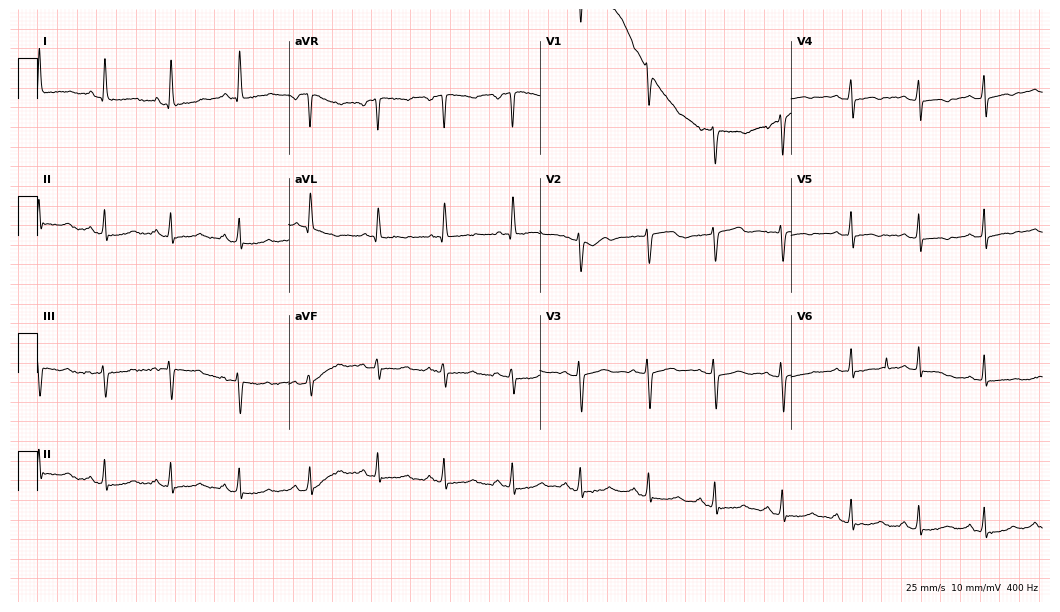
12-lead ECG from a female, 48 years old. Recorded interpretation: within normal limits.